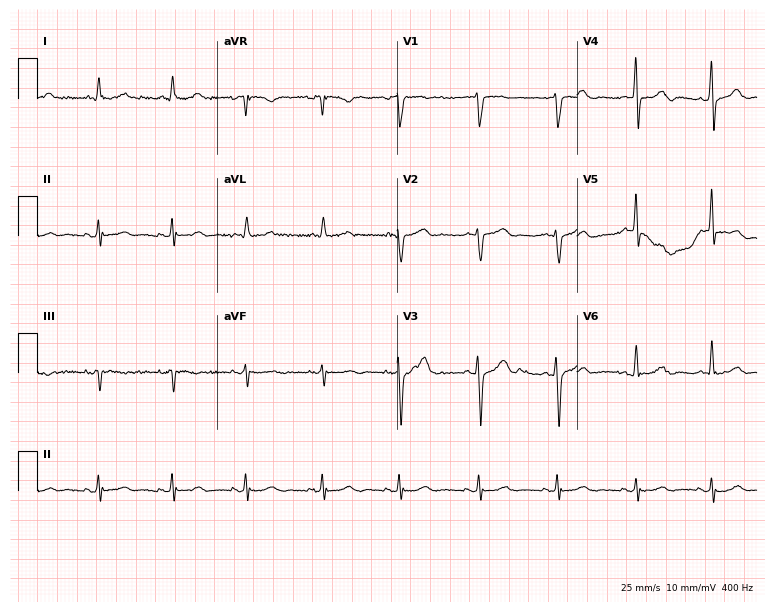
Electrocardiogram (7.3-second recording at 400 Hz), a man, 63 years old. Overall reading on record: normal ECG.